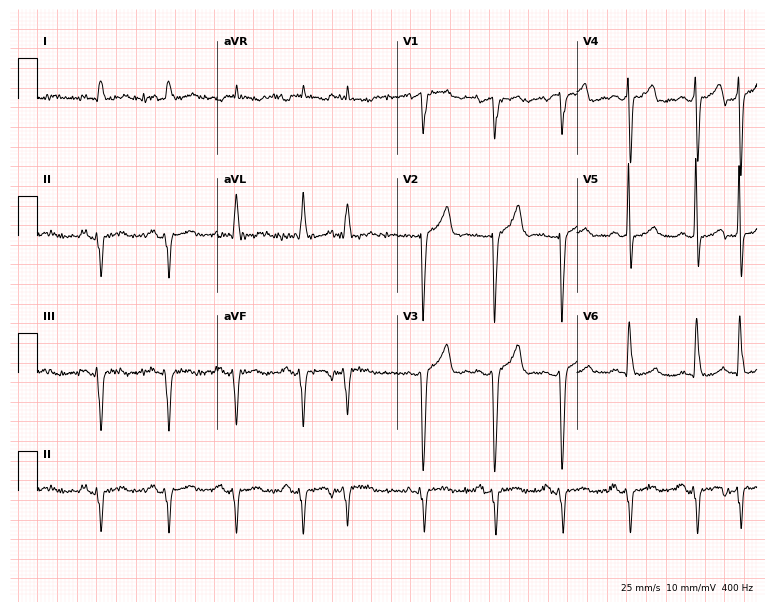
12-lead ECG from a 78-year-old man. No first-degree AV block, right bundle branch block (RBBB), left bundle branch block (LBBB), sinus bradycardia, atrial fibrillation (AF) or sinus tachycardia recorded for this tracing. Other findings, if any, are not listed.